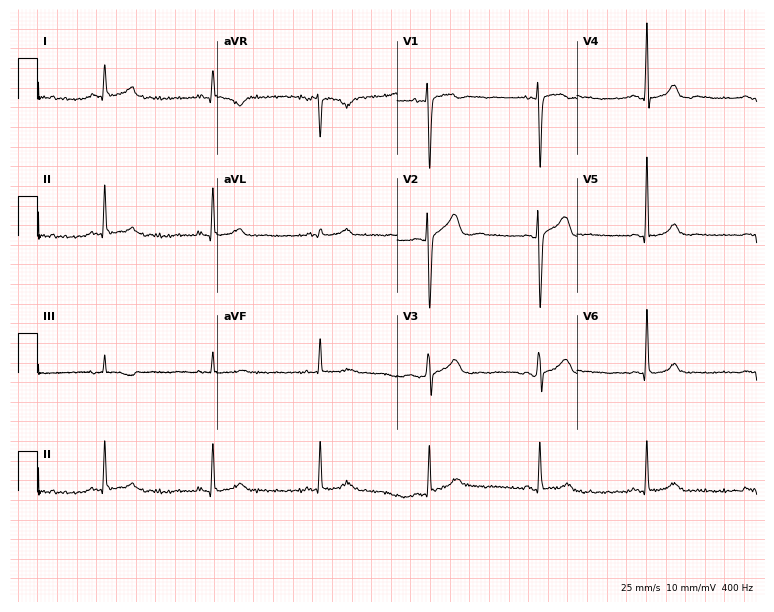
ECG (7.3-second recording at 400 Hz) — a female, 29 years old. Screened for six findings — first-degree AV block, right bundle branch block, left bundle branch block, sinus bradycardia, atrial fibrillation, sinus tachycardia — none is recorded. Other findings, if any, are not listed.